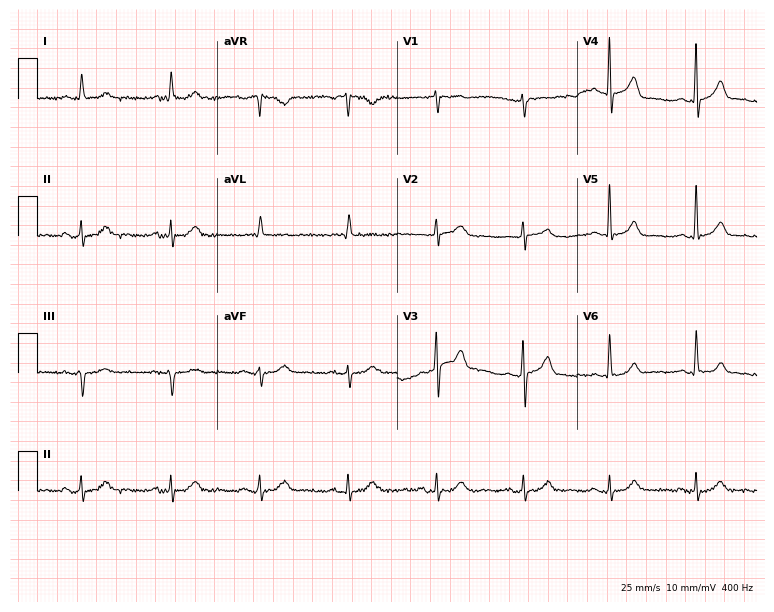
Standard 12-lead ECG recorded from a 75-year-old man. Read as a normal ECG.